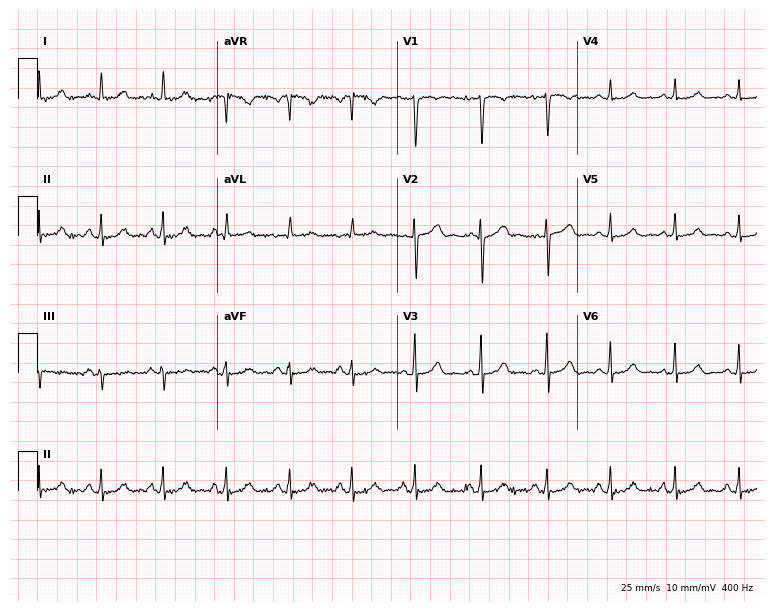
Electrocardiogram, a 32-year-old female. Overall reading on record: normal ECG.